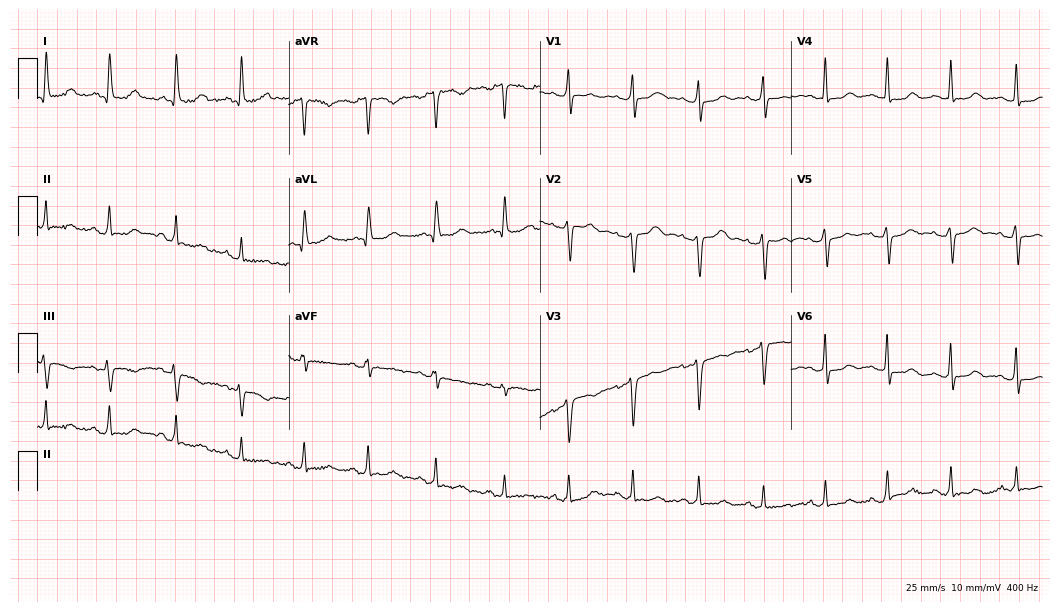
Resting 12-lead electrocardiogram (10.2-second recording at 400 Hz). Patient: a female, 40 years old. None of these six findings is recorded: first-degree AV block, right bundle branch block, left bundle branch block, sinus bradycardia, atrial fibrillation, sinus tachycardia.